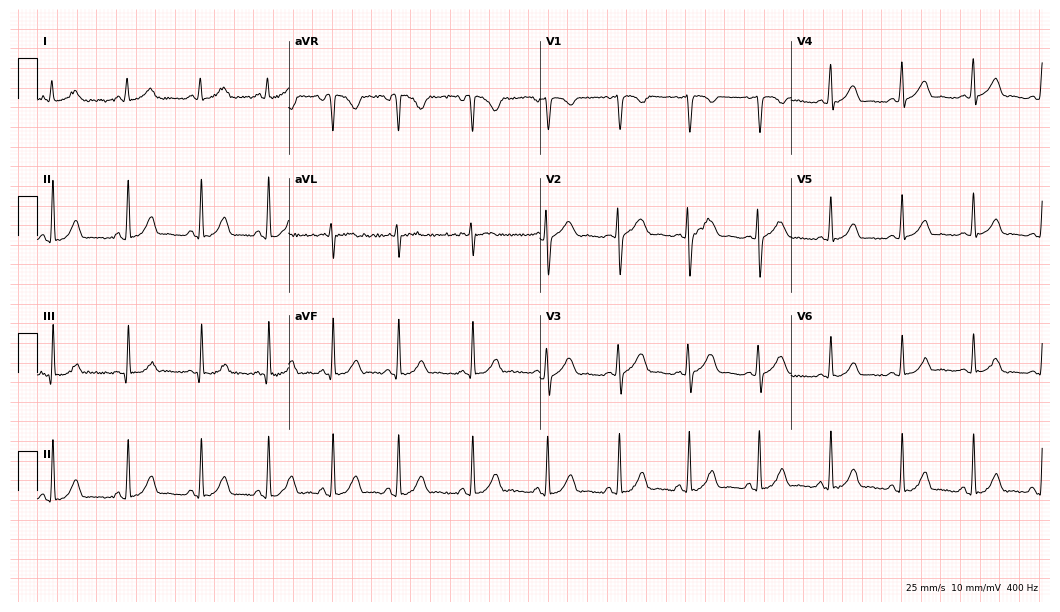
Resting 12-lead electrocardiogram. Patient: an 18-year-old female. None of these six findings is recorded: first-degree AV block, right bundle branch block, left bundle branch block, sinus bradycardia, atrial fibrillation, sinus tachycardia.